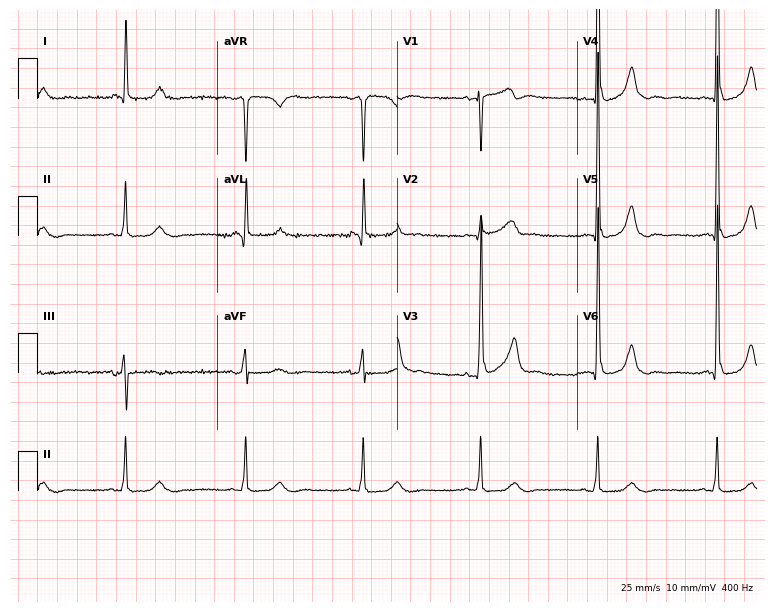
12-lead ECG from a male, 71 years old. Labelled as a normal ECG.